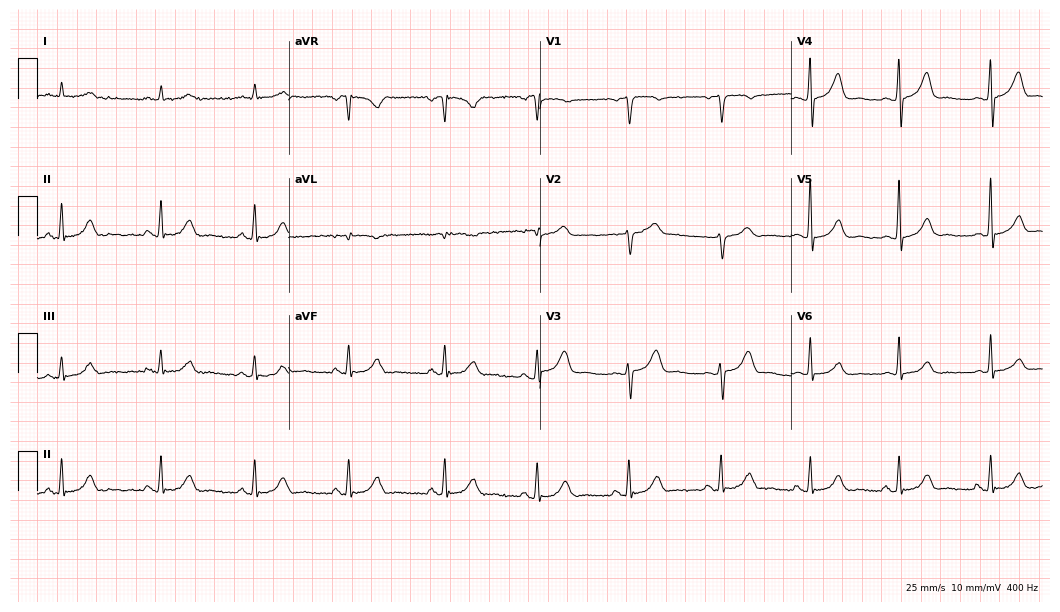
12-lead ECG from a 65-year-old male patient. Recorded interpretation: within normal limits.